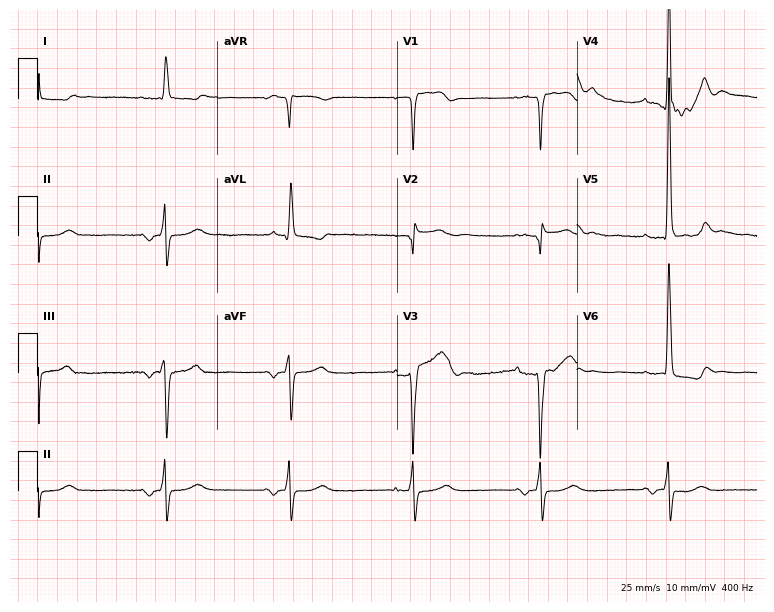
ECG — an 81-year-old male. Screened for six findings — first-degree AV block, right bundle branch block, left bundle branch block, sinus bradycardia, atrial fibrillation, sinus tachycardia — none is recorded. Findings outside these six are not listed.